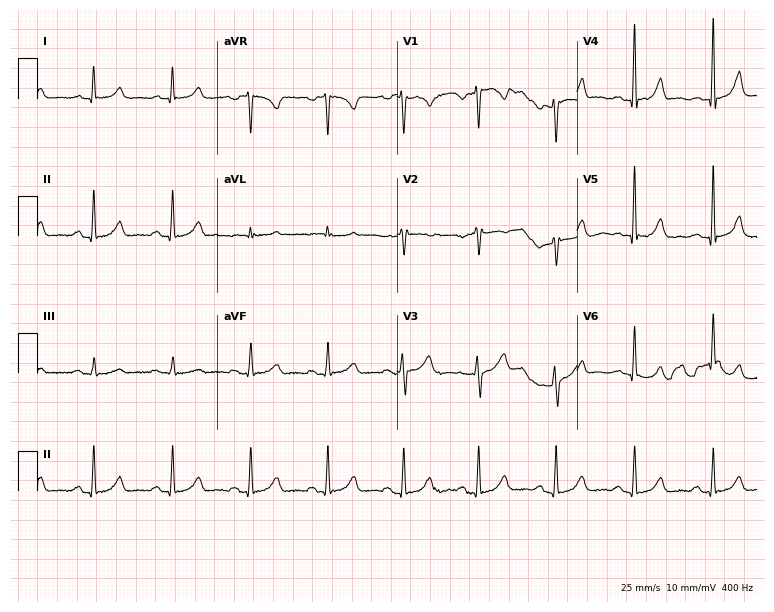
Resting 12-lead electrocardiogram (7.3-second recording at 400 Hz). Patient: a female, 46 years old. Read as a normal ECG.